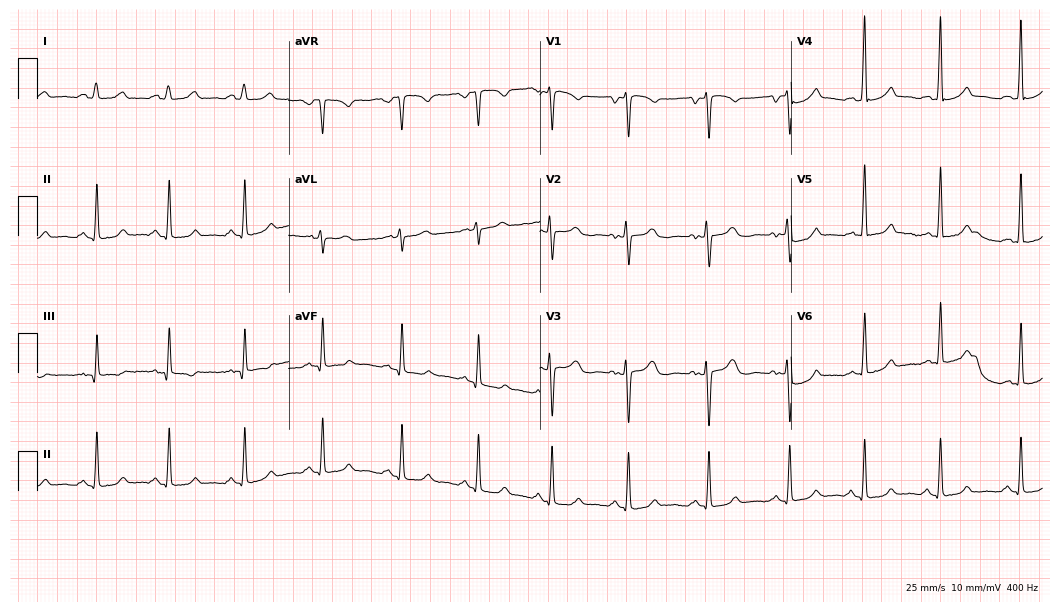
12-lead ECG (10.2-second recording at 400 Hz) from a 26-year-old female. Labelled as a normal ECG.